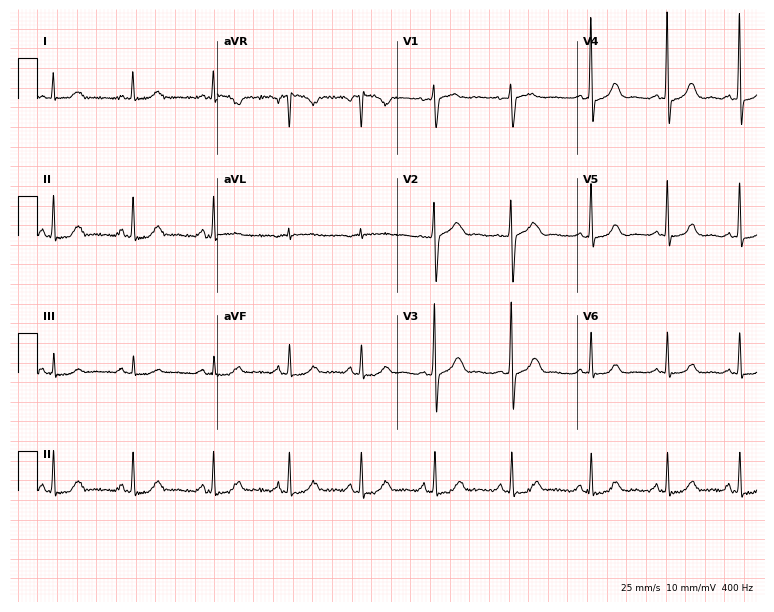
Resting 12-lead electrocardiogram. Patient: a 44-year-old female. None of these six findings is recorded: first-degree AV block, right bundle branch block (RBBB), left bundle branch block (LBBB), sinus bradycardia, atrial fibrillation (AF), sinus tachycardia.